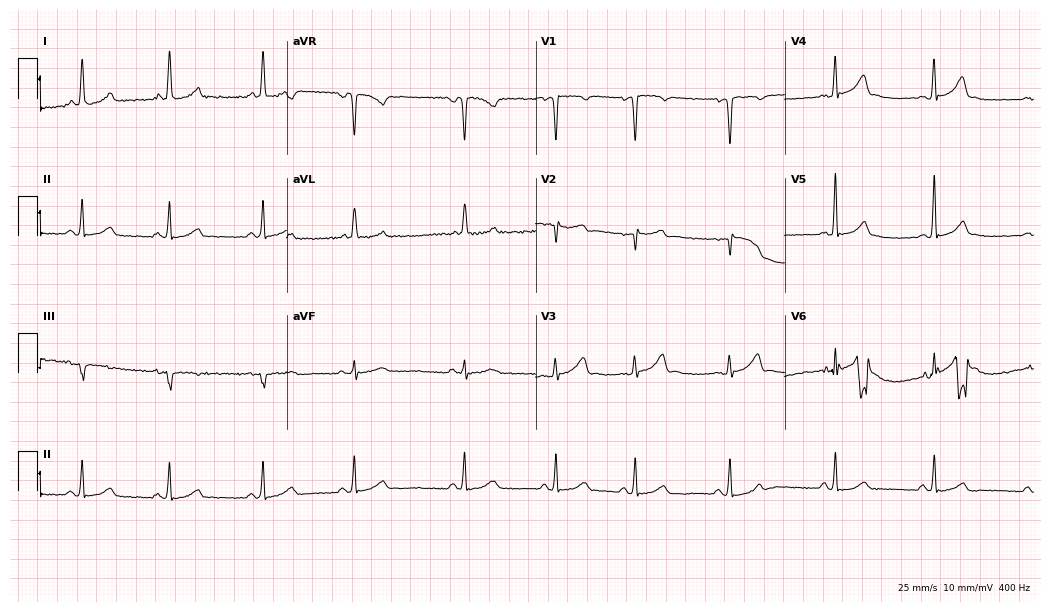
Standard 12-lead ECG recorded from a female, 39 years old (10.2-second recording at 400 Hz). Read as a normal ECG.